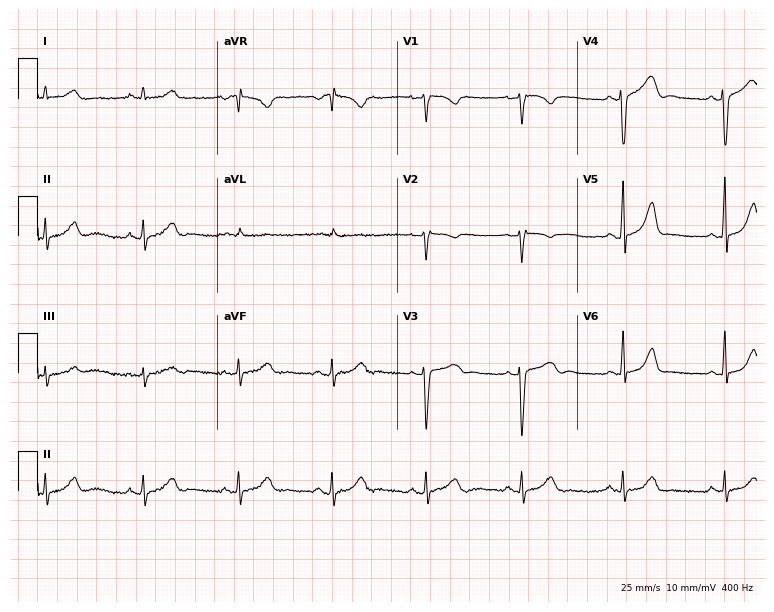
ECG — a 29-year-old woman. Labelled as a normal ECG.